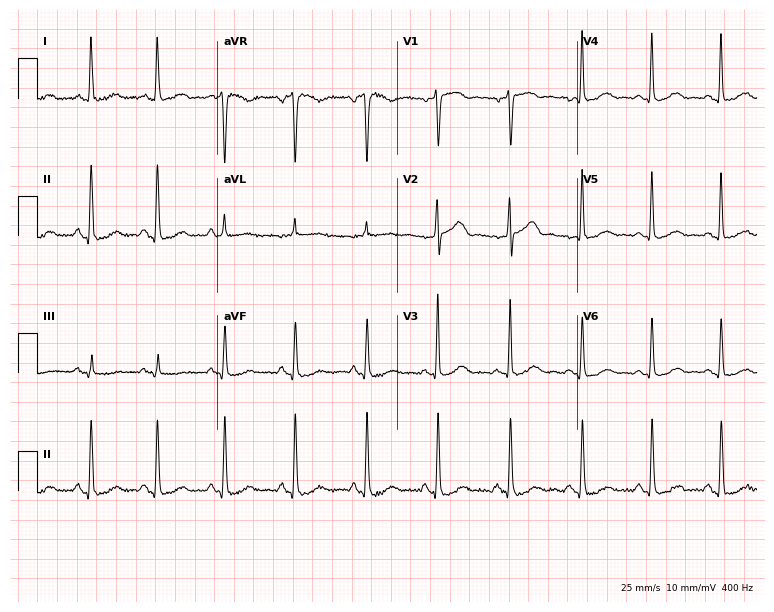
12-lead ECG from a 62-year-old female. Recorded interpretation: within normal limits.